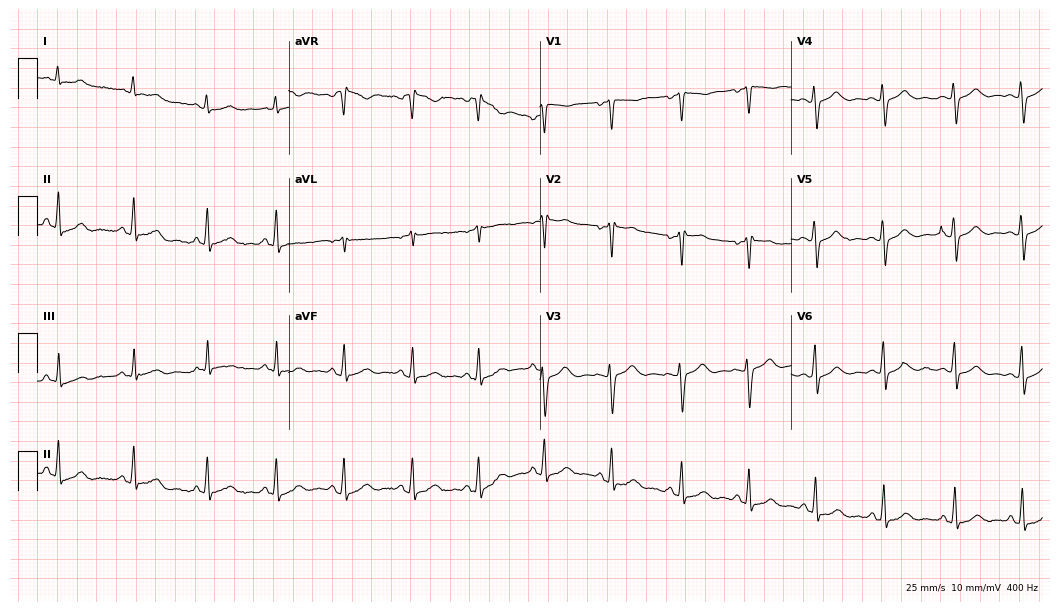
ECG — a 41-year-old female. Screened for six findings — first-degree AV block, right bundle branch block (RBBB), left bundle branch block (LBBB), sinus bradycardia, atrial fibrillation (AF), sinus tachycardia — none is recorded. Other findings, if any, are not listed.